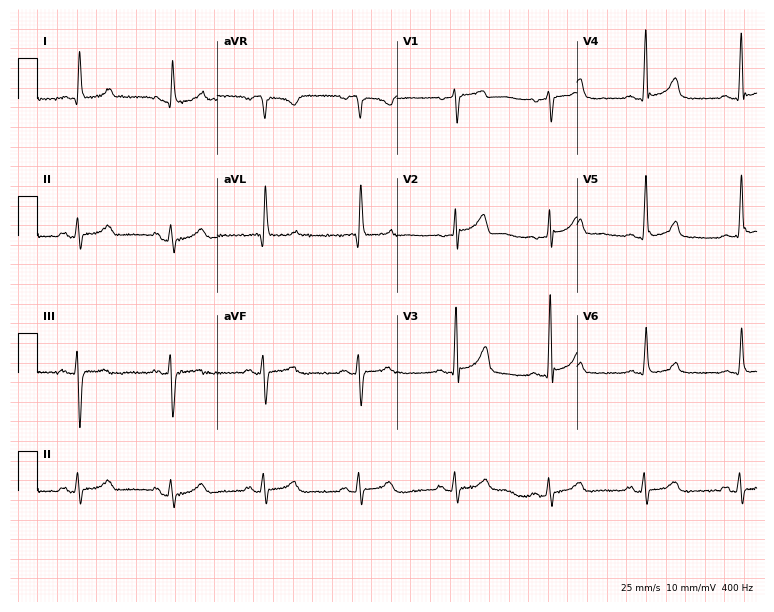
ECG (7.3-second recording at 400 Hz) — a female, 77 years old. Screened for six findings — first-degree AV block, right bundle branch block, left bundle branch block, sinus bradycardia, atrial fibrillation, sinus tachycardia — none is recorded. Only these six findings were labelled.